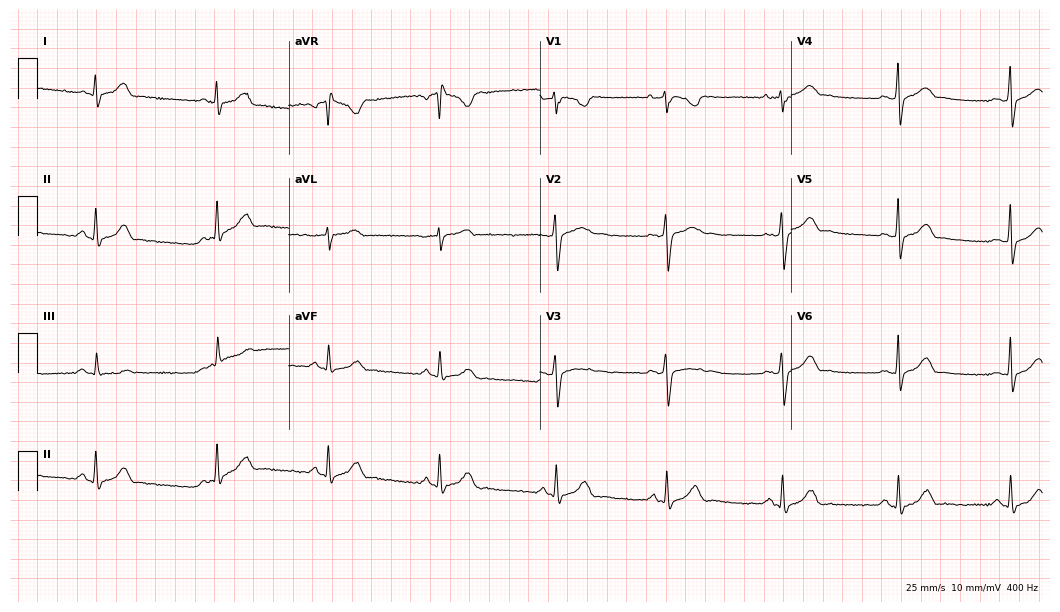
12-lead ECG from a 19-year-old female. Screened for six findings — first-degree AV block, right bundle branch block (RBBB), left bundle branch block (LBBB), sinus bradycardia, atrial fibrillation (AF), sinus tachycardia — none is recorded.